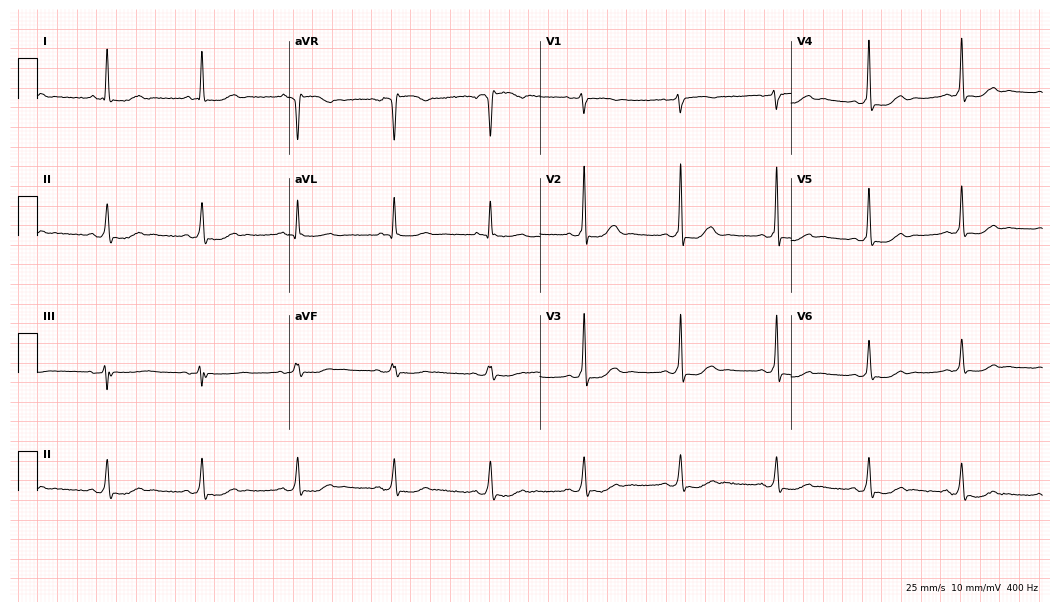
12-lead ECG from a woman, 70 years old (10.2-second recording at 400 Hz). No first-degree AV block, right bundle branch block, left bundle branch block, sinus bradycardia, atrial fibrillation or sinus tachycardia recorded for this tracing. Only these six findings were labelled.